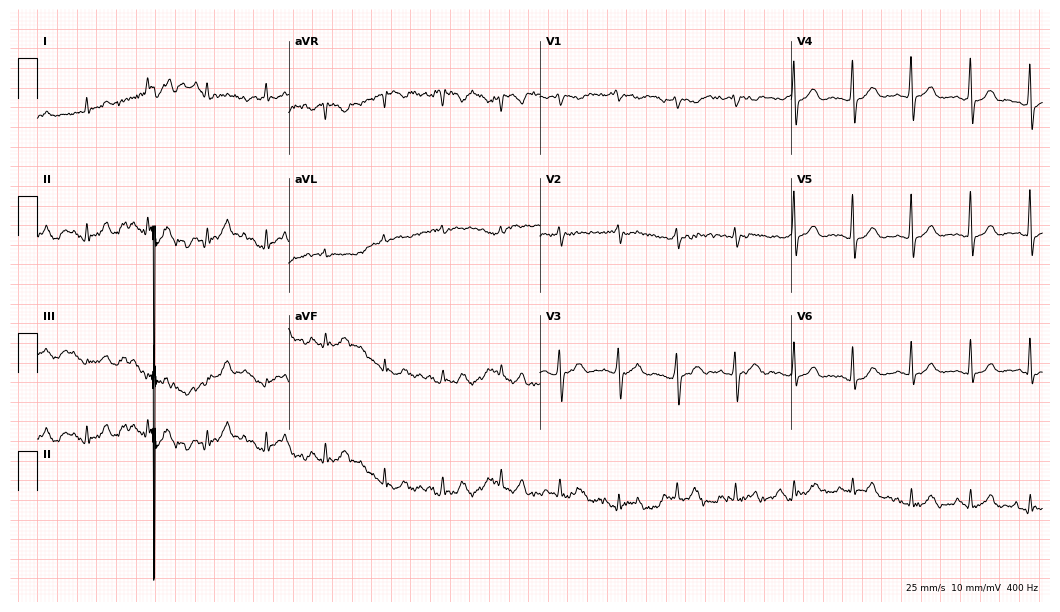
12-lead ECG (10.2-second recording at 400 Hz) from an 85-year-old male. Screened for six findings — first-degree AV block, right bundle branch block, left bundle branch block, sinus bradycardia, atrial fibrillation, sinus tachycardia — none is recorded. Only these six findings were labelled.